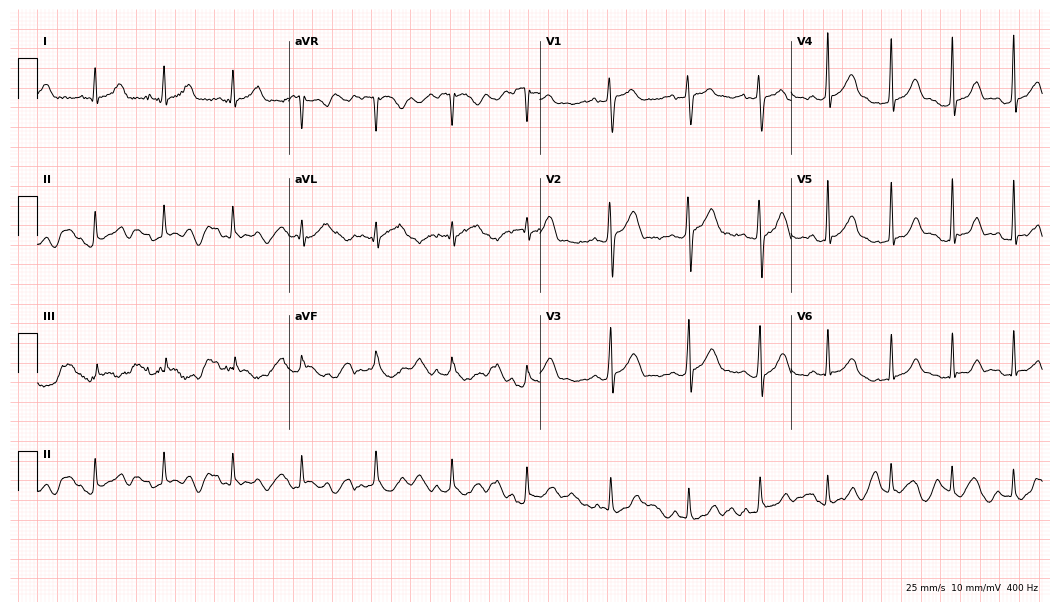
Resting 12-lead electrocardiogram (10.2-second recording at 400 Hz). Patient: a 17-year-old male. Read as a normal ECG.